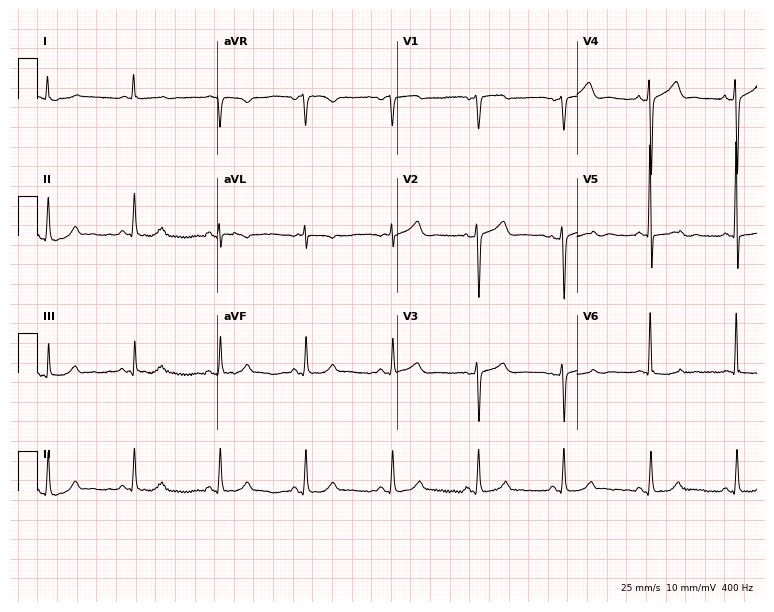
12-lead ECG from a 65-year-old female patient. No first-degree AV block, right bundle branch block, left bundle branch block, sinus bradycardia, atrial fibrillation or sinus tachycardia recorded for this tracing. Findings outside these six are not listed.